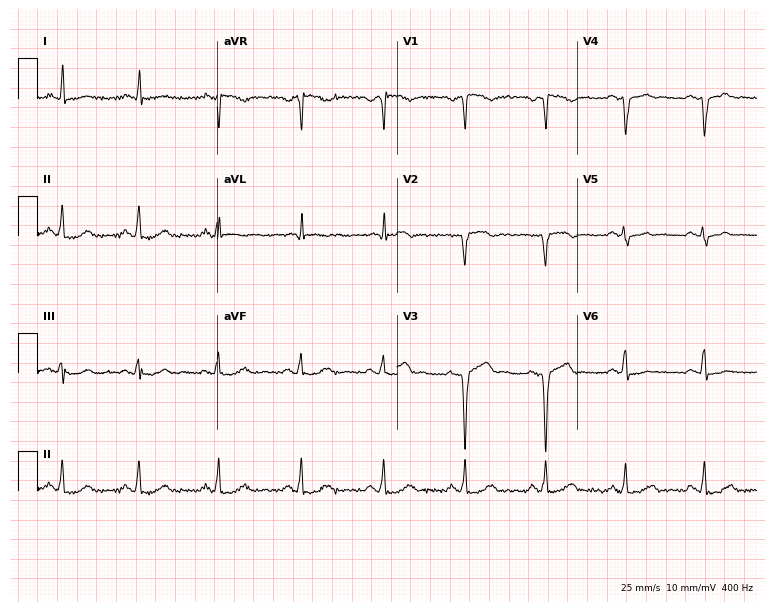
12-lead ECG from a male patient, 45 years old (7.3-second recording at 400 Hz). No first-degree AV block, right bundle branch block, left bundle branch block, sinus bradycardia, atrial fibrillation or sinus tachycardia recorded for this tracing.